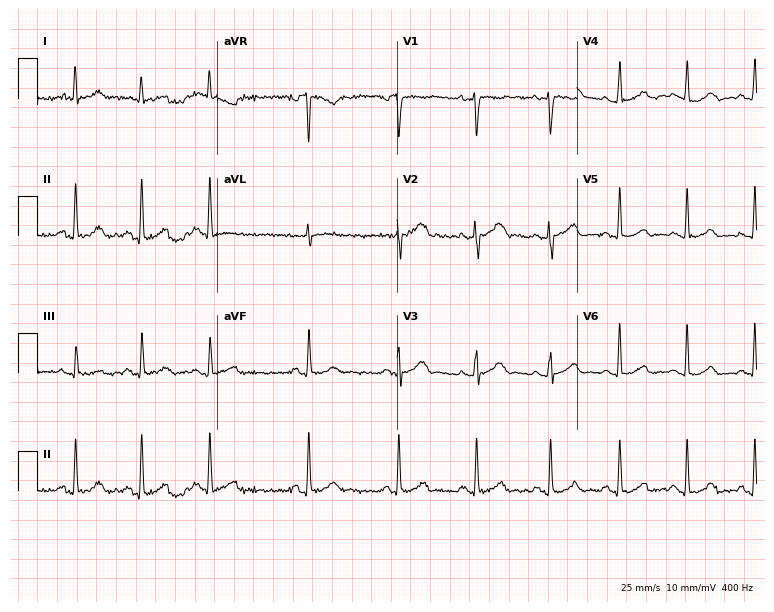
12-lead ECG (7.3-second recording at 400 Hz) from a 34-year-old female. Labelled as a normal ECG.